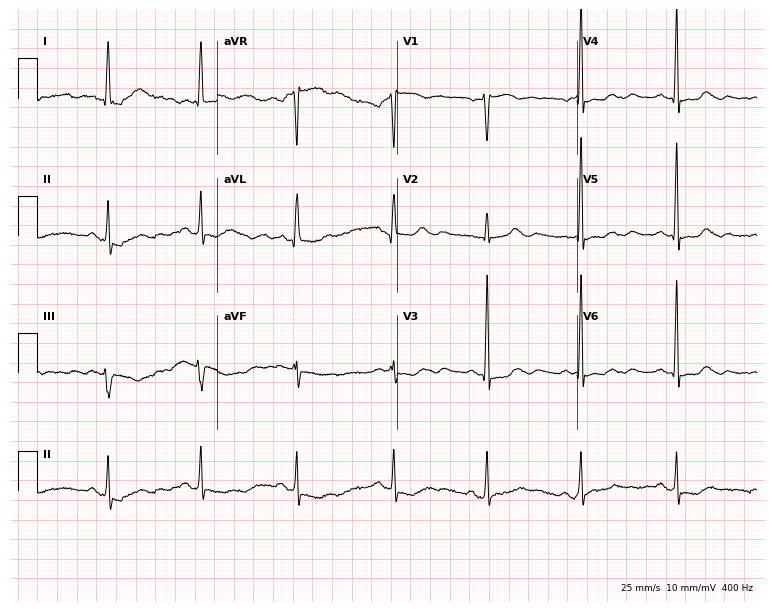
12-lead ECG (7.3-second recording at 400 Hz) from a 75-year-old woman. Screened for six findings — first-degree AV block, right bundle branch block (RBBB), left bundle branch block (LBBB), sinus bradycardia, atrial fibrillation (AF), sinus tachycardia — none is recorded.